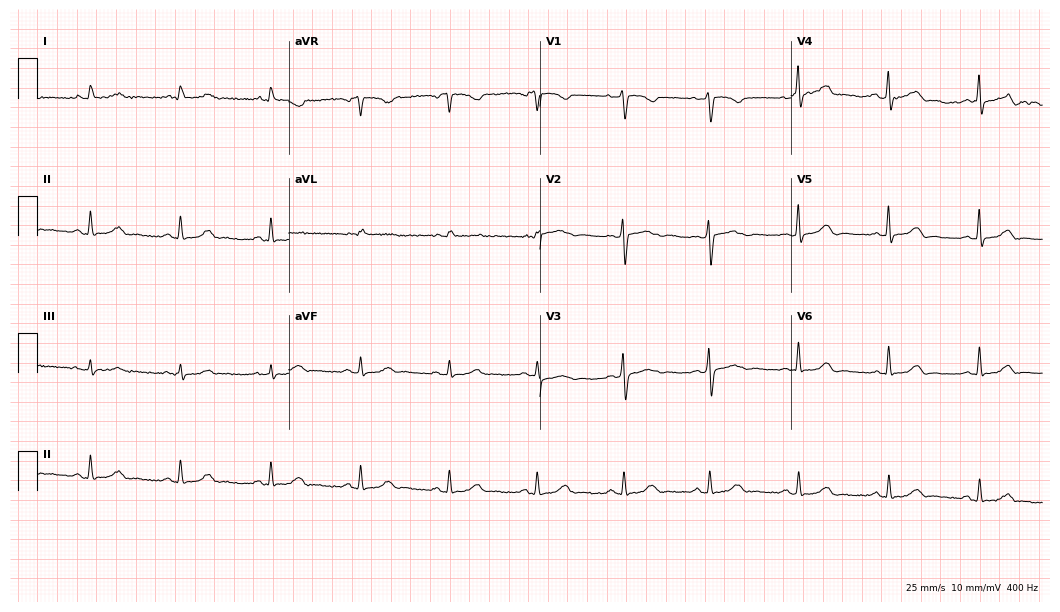
Resting 12-lead electrocardiogram. Patient: a 42-year-old female. None of these six findings is recorded: first-degree AV block, right bundle branch block, left bundle branch block, sinus bradycardia, atrial fibrillation, sinus tachycardia. Other findings, if any, are not listed.